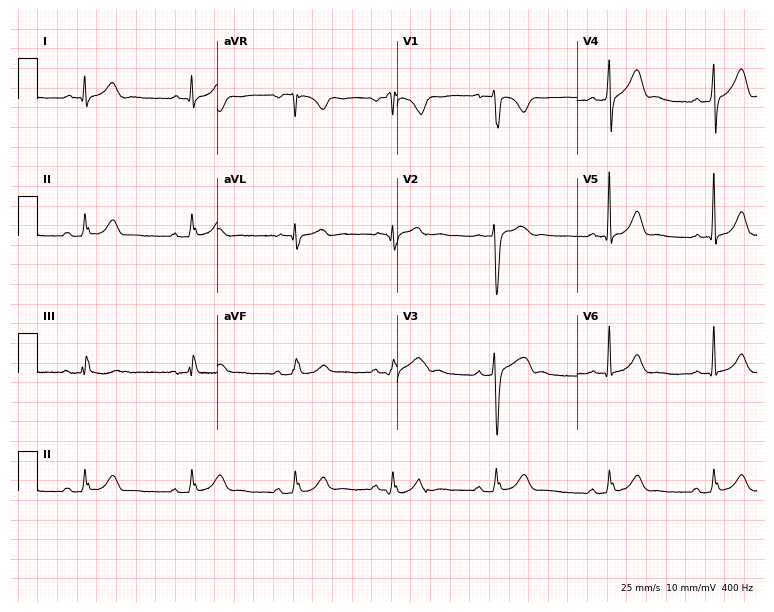
Standard 12-lead ECG recorded from a 35-year-old male. Read as a normal ECG.